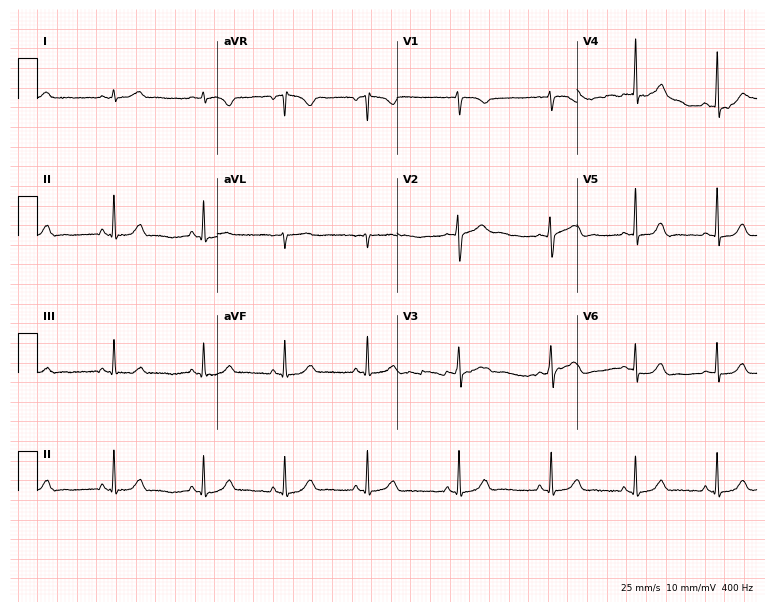
Resting 12-lead electrocardiogram (7.3-second recording at 400 Hz). Patient: a 26-year-old female. Read as a normal ECG.